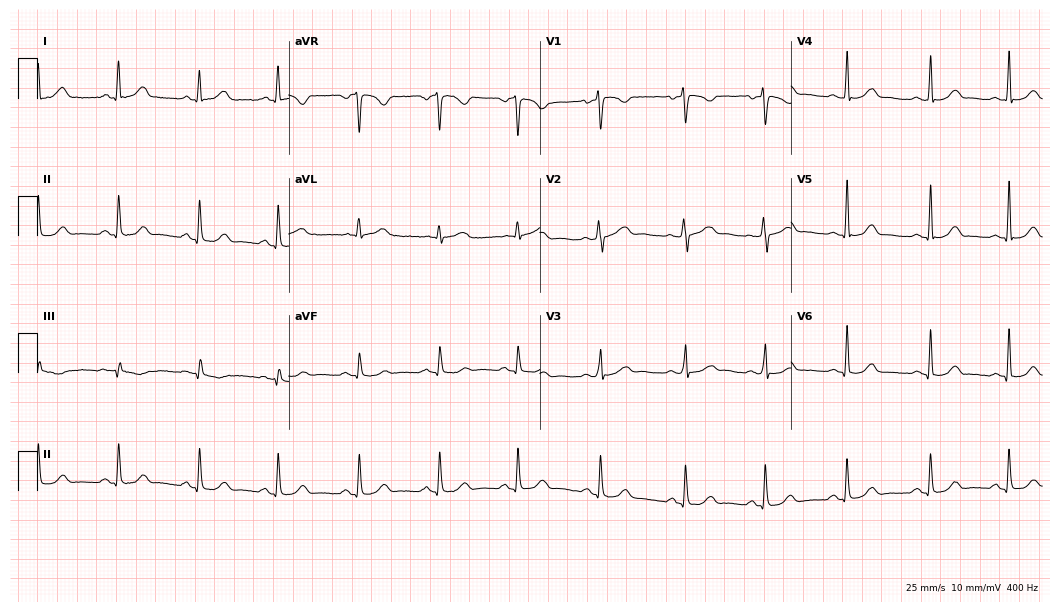
ECG — a female patient, 39 years old. Labelled as a normal ECG.